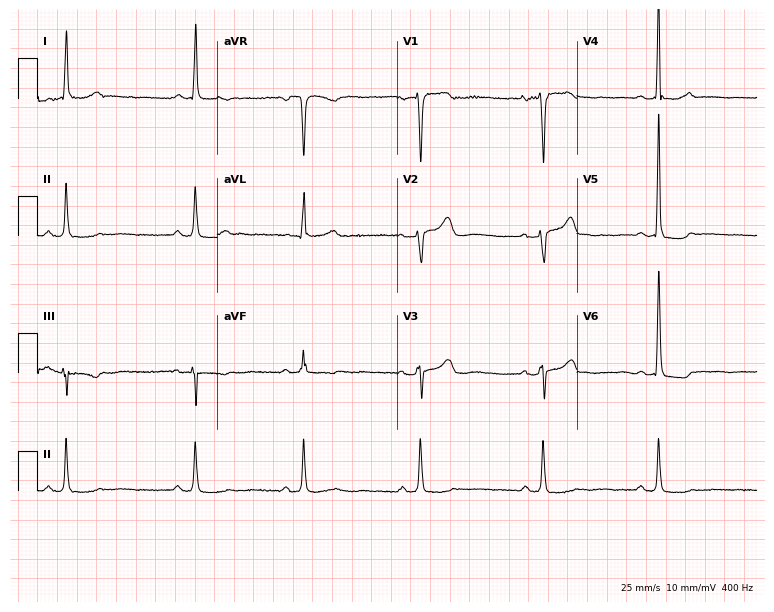
ECG — a female, 47 years old. Findings include sinus bradycardia (a sinus rate of 50 beats per minute or less).